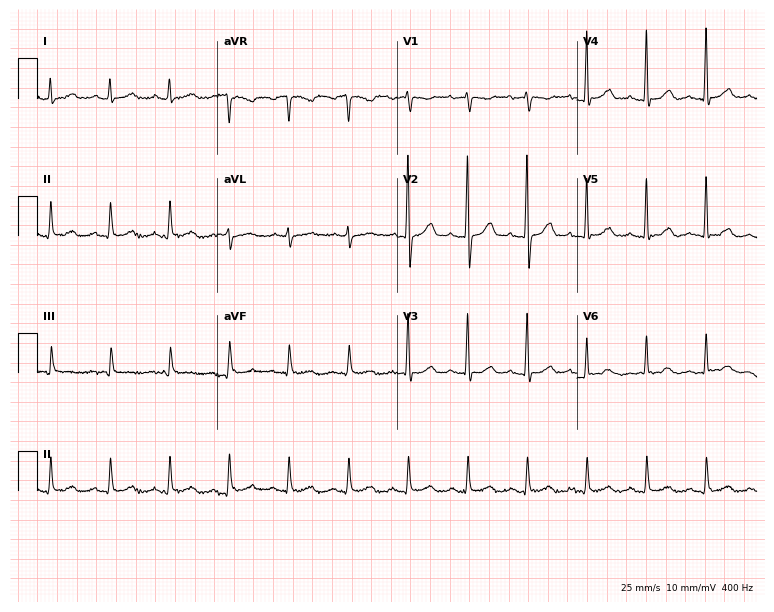
Resting 12-lead electrocardiogram (7.3-second recording at 400 Hz). Patient: a woman, 58 years old. None of these six findings is recorded: first-degree AV block, right bundle branch block (RBBB), left bundle branch block (LBBB), sinus bradycardia, atrial fibrillation (AF), sinus tachycardia. Only these six findings were labelled.